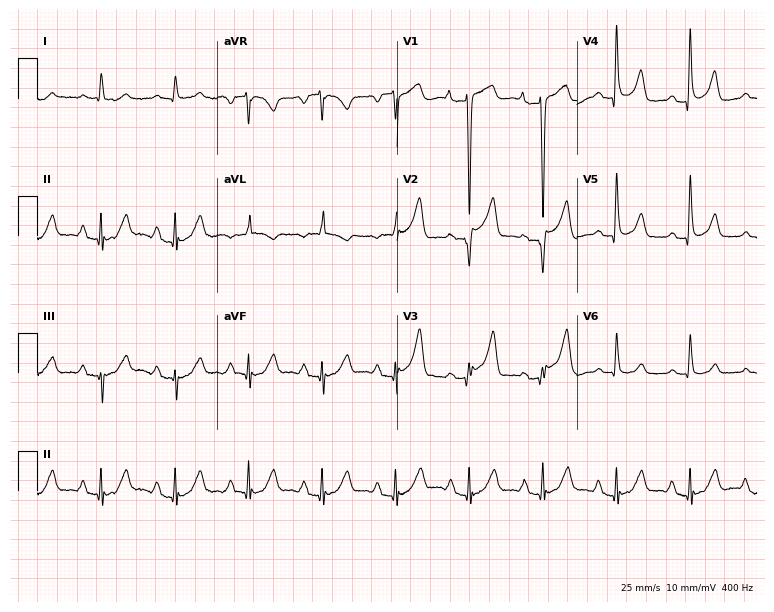
ECG — a male, 84 years old. Screened for six findings — first-degree AV block, right bundle branch block, left bundle branch block, sinus bradycardia, atrial fibrillation, sinus tachycardia — none is recorded. Findings outside these six are not listed.